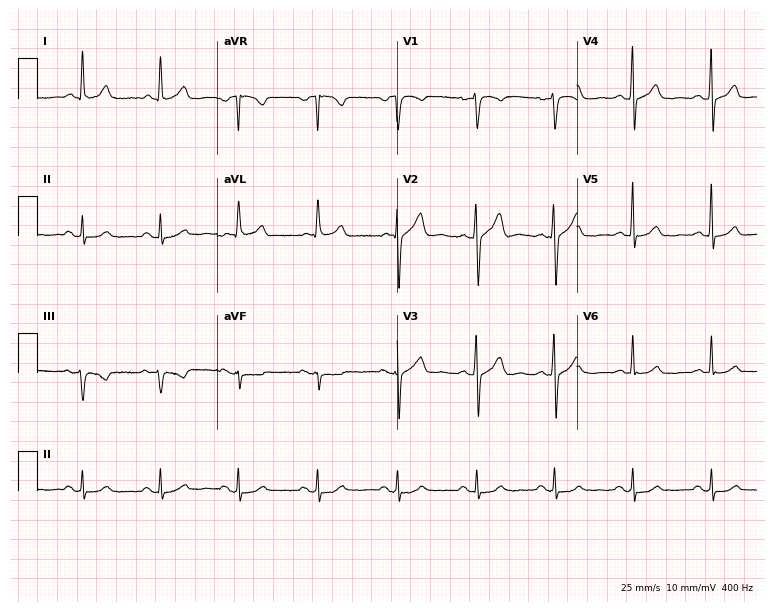
Standard 12-lead ECG recorded from a 57-year-old male. None of these six findings is recorded: first-degree AV block, right bundle branch block, left bundle branch block, sinus bradycardia, atrial fibrillation, sinus tachycardia.